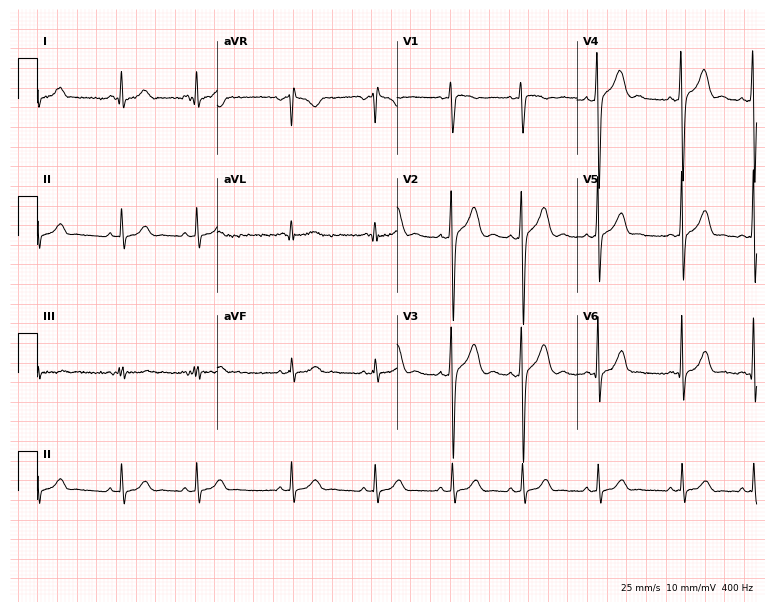
Standard 12-lead ECG recorded from a 19-year-old male patient (7.3-second recording at 400 Hz). None of these six findings is recorded: first-degree AV block, right bundle branch block (RBBB), left bundle branch block (LBBB), sinus bradycardia, atrial fibrillation (AF), sinus tachycardia. Only these six findings were labelled.